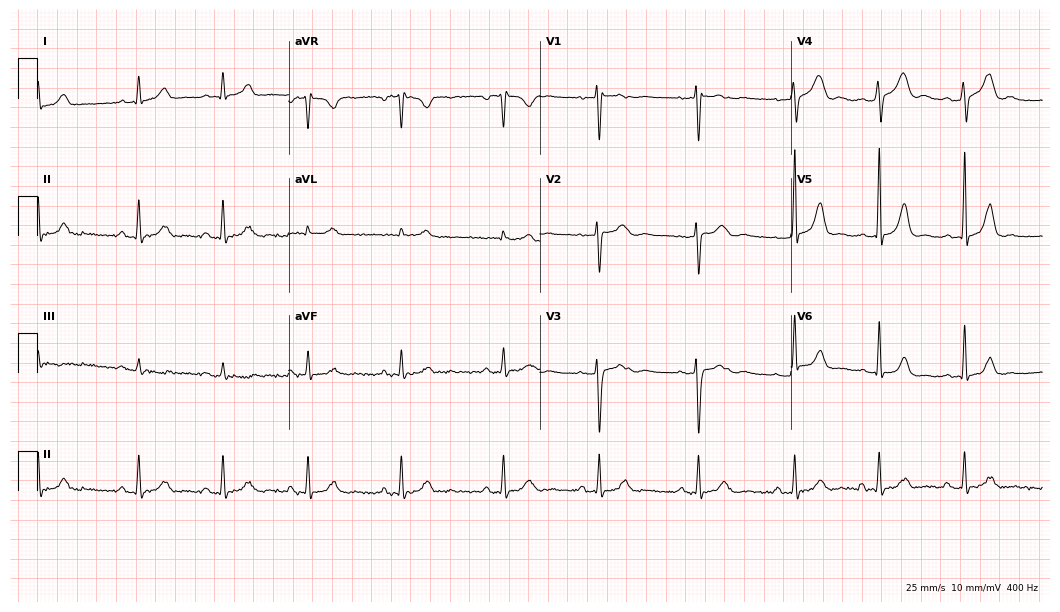
ECG — a 31-year-old female. Labelled as a normal ECG.